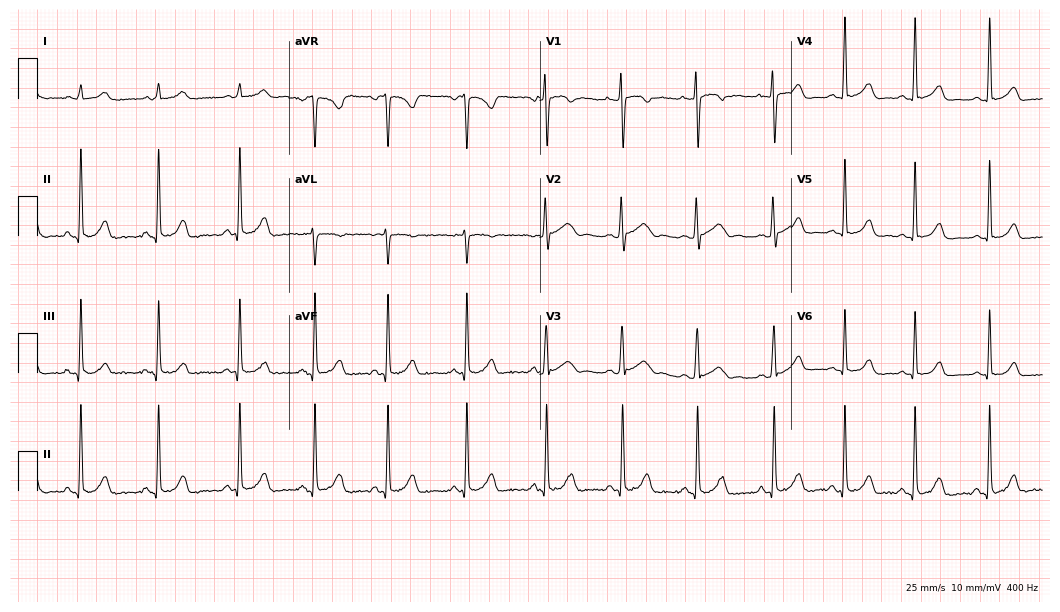
Resting 12-lead electrocardiogram (10.2-second recording at 400 Hz). Patient: a female, 17 years old. Read as a normal ECG.